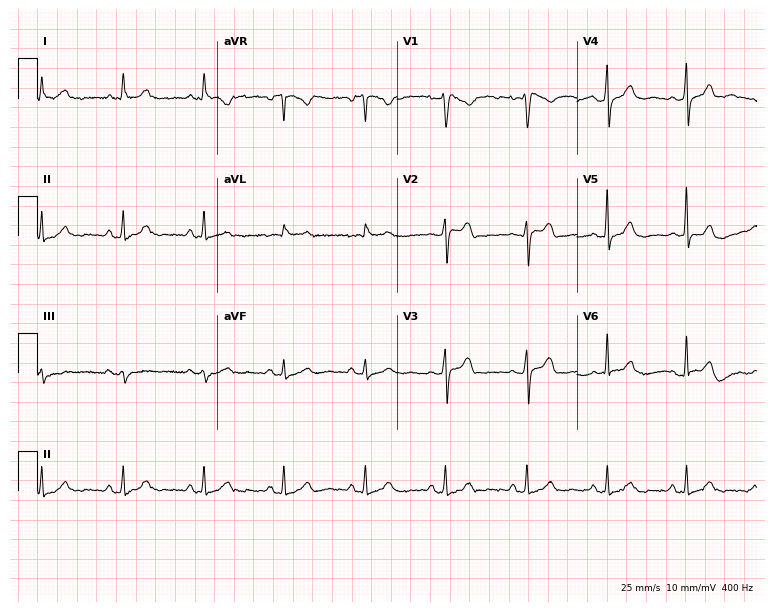
12-lead ECG from a 68-year-old woman. Labelled as a normal ECG.